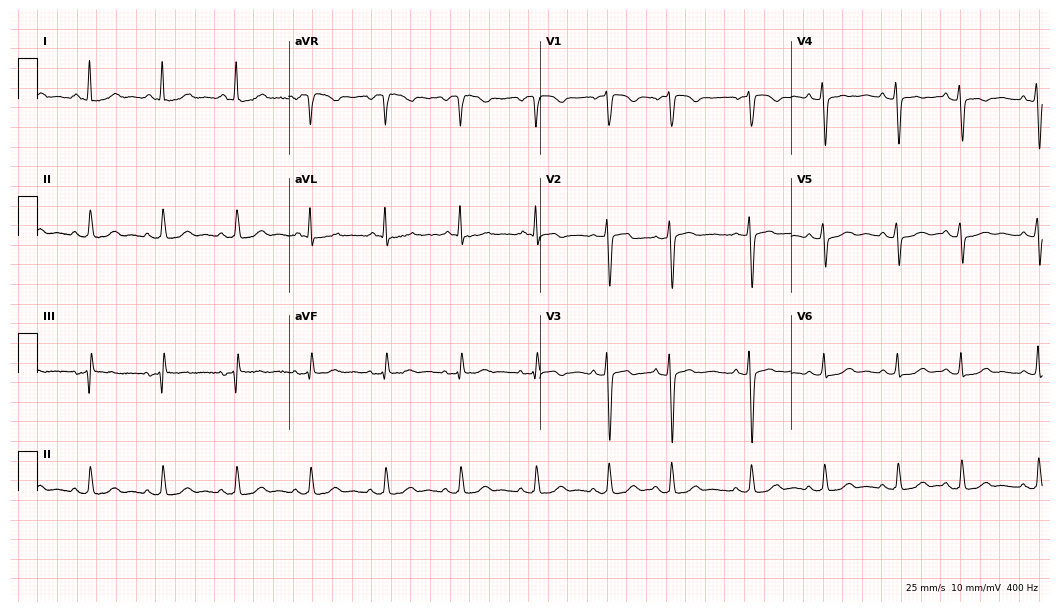
Resting 12-lead electrocardiogram (10.2-second recording at 400 Hz). Patient: a woman, 63 years old. Read as a normal ECG.